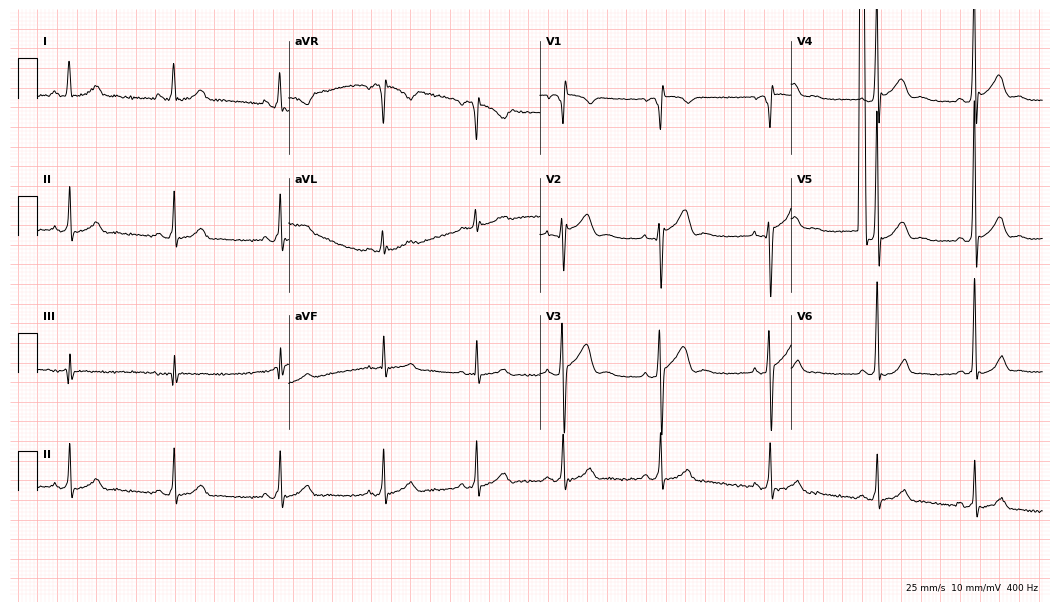
Resting 12-lead electrocardiogram (10.2-second recording at 400 Hz). Patient: a male, 23 years old. None of these six findings is recorded: first-degree AV block, right bundle branch block (RBBB), left bundle branch block (LBBB), sinus bradycardia, atrial fibrillation (AF), sinus tachycardia.